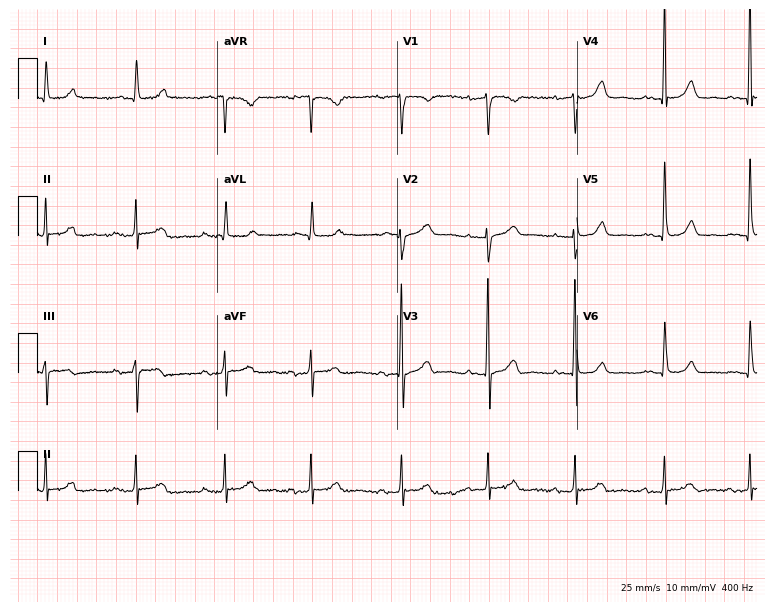
Resting 12-lead electrocardiogram (7.3-second recording at 400 Hz). Patient: an 84-year-old female. Read as a normal ECG.